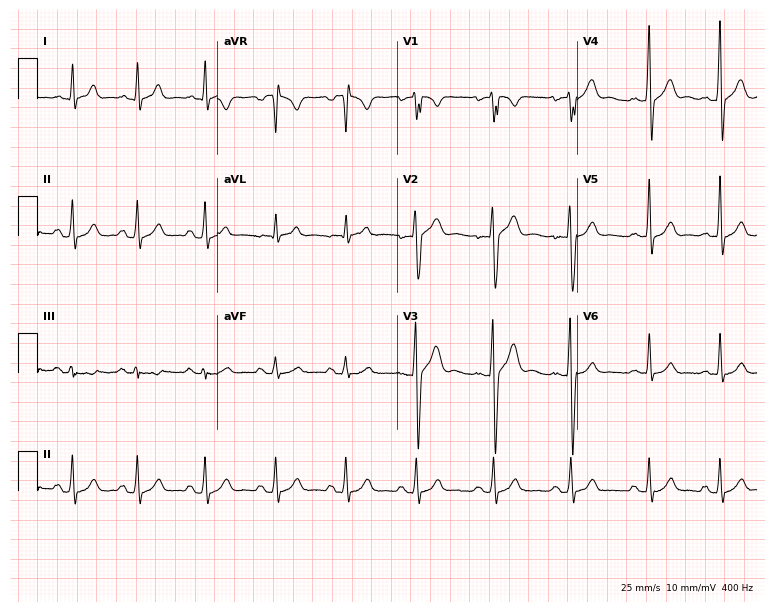
Resting 12-lead electrocardiogram. Patient: a male, 25 years old. Read as a normal ECG.